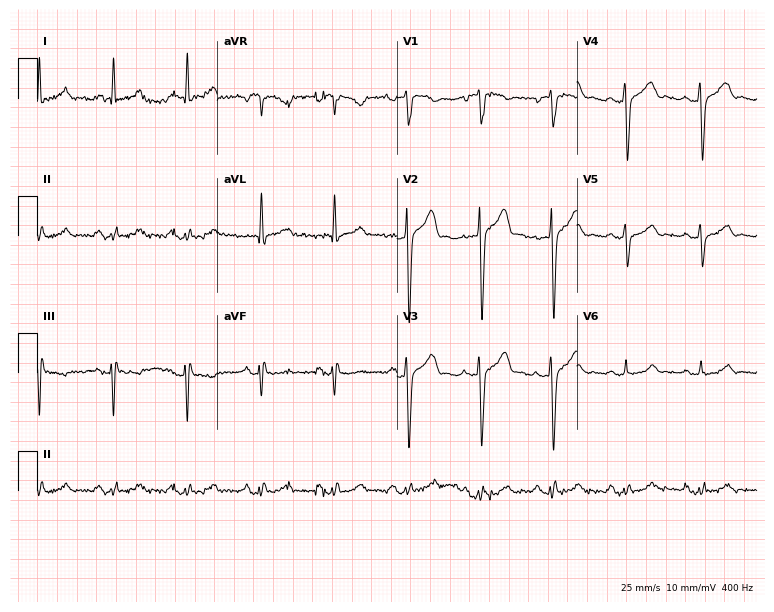
Resting 12-lead electrocardiogram (7.3-second recording at 400 Hz). Patient: a 43-year-old male. None of these six findings is recorded: first-degree AV block, right bundle branch block, left bundle branch block, sinus bradycardia, atrial fibrillation, sinus tachycardia. Findings outside these six are not listed.